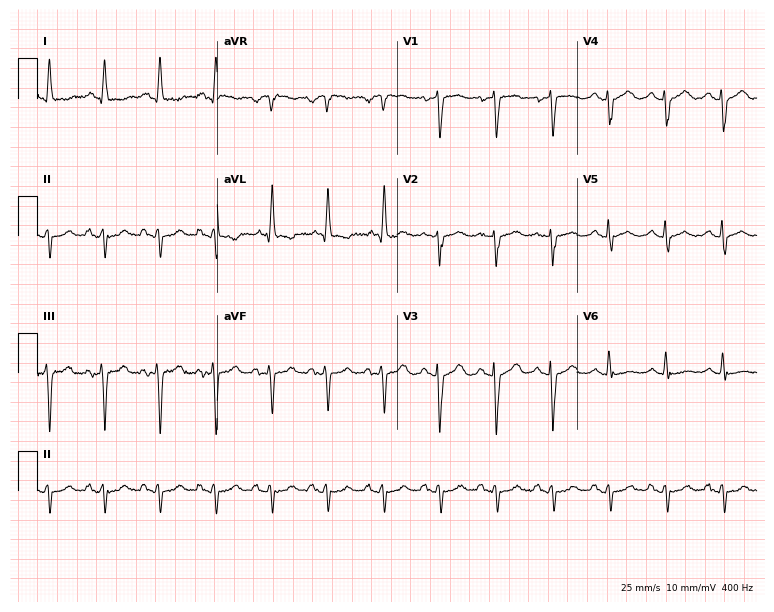
Standard 12-lead ECG recorded from a female patient, 81 years old. None of these six findings is recorded: first-degree AV block, right bundle branch block, left bundle branch block, sinus bradycardia, atrial fibrillation, sinus tachycardia. Findings outside these six are not listed.